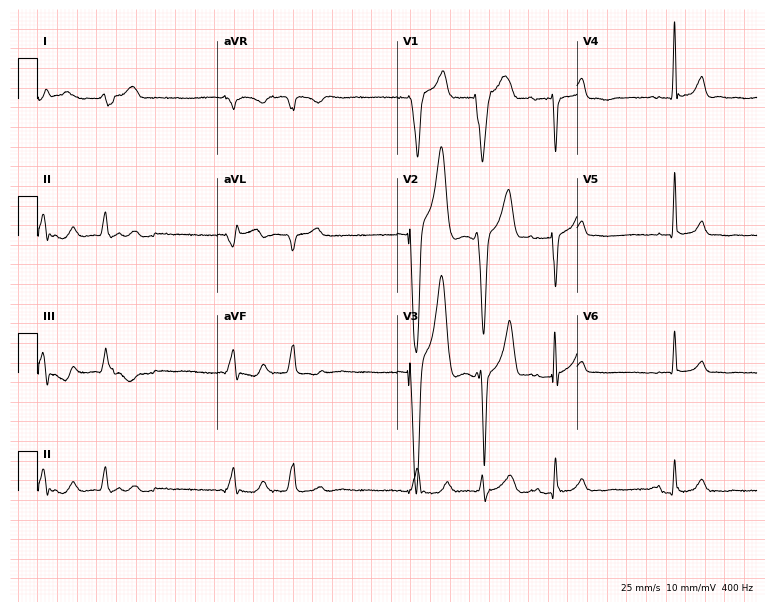
ECG — a 51-year-old male. Screened for six findings — first-degree AV block, right bundle branch block, left bundle branch block, sinus bradycardia, atrial fibrillation, sinus tachycardia — none is recorded.